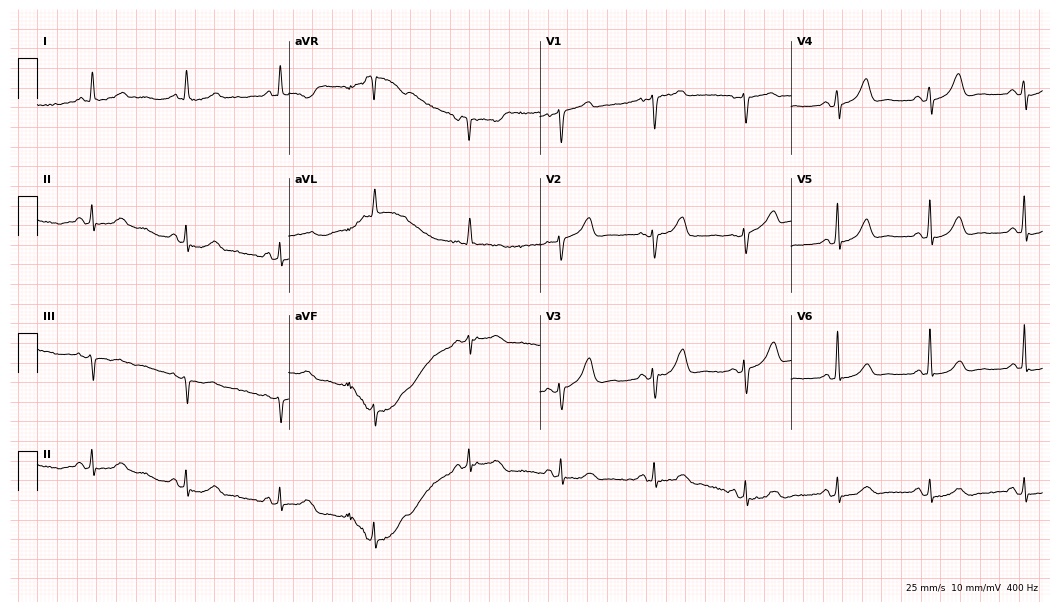
12-lead ECG (10.2-second recording at 400 Hz) from a 75-year-old female. Labelled as a normal ECG.